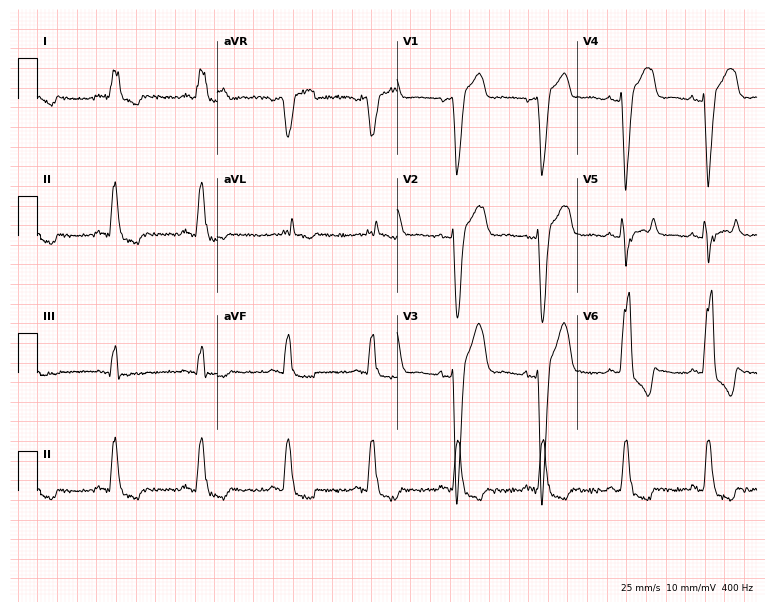
Resting 12-lead electrocardiogram (7.3-second recording at 400 Hz). Patient: a male, 82 years old. The tracing shows left bundle branch block (LBBB).